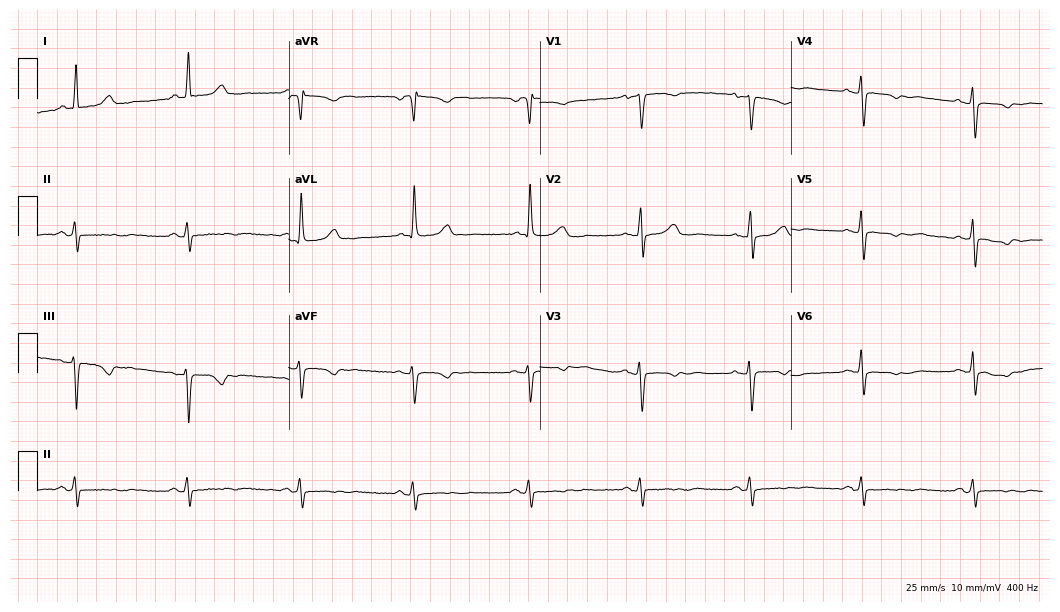
Electrocardiogram, a 63-year-old female patient. Of the six screened findings (first-degree AV block, right bundle branch block, left bundle branch block, sinus bradycardia, atrial fibrillation, sinus tachycardia), none is recorded.